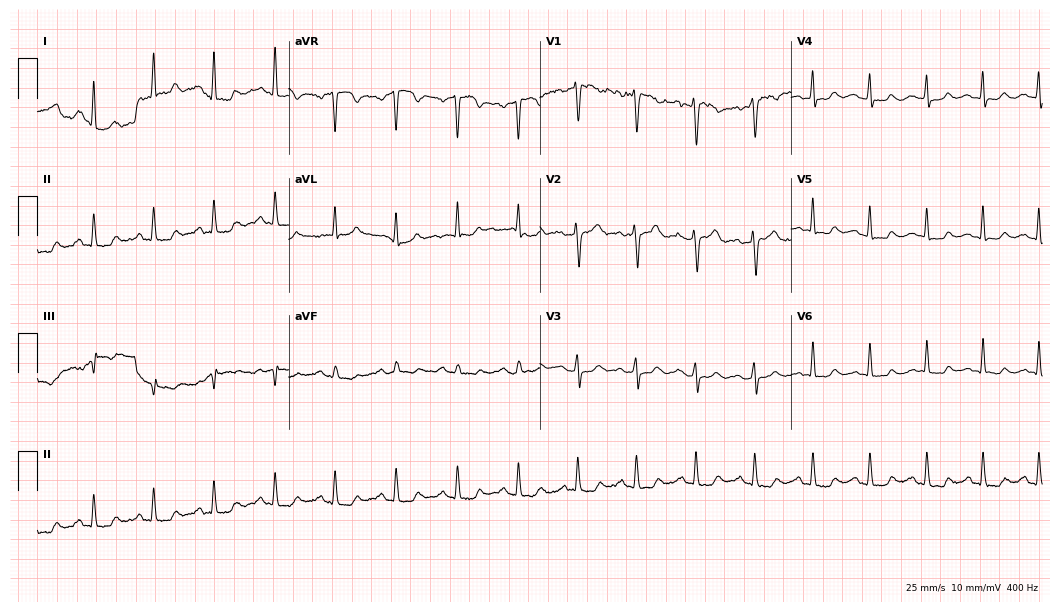
ECG (10.2-second recording at 400 Hz) — a female patient, 55 years old. Screened for six findings — first-degree AV block, right bundle branch block, left bundle branch block, sinus bradycardia, atrial fibrillation, sinus tachycardia — none is recorded.